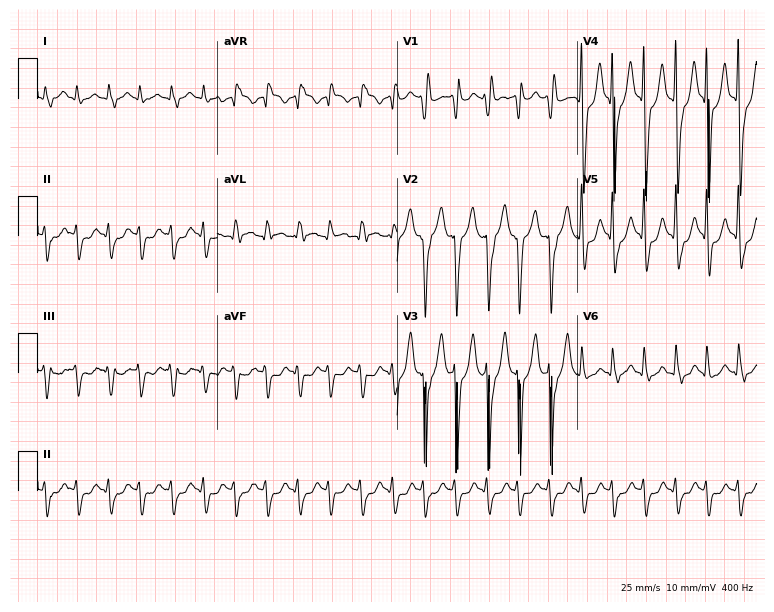
12-lead ECG from a male, 65 years old (7.3-second recording at 400 Hz). Shows sinus tachycardia (a sinus rate of 100 beats per minute or more).